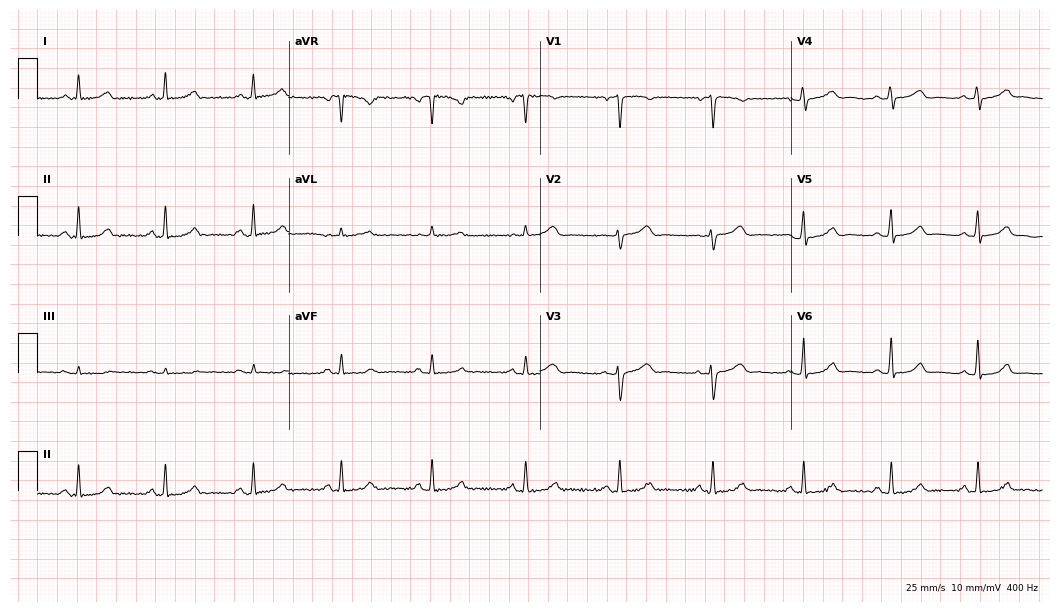
Resting 12-lead electrocardiogram (10.2-second recording at 400 Hz). Patient: a woman, 38 years old. Read as a normal ECG.